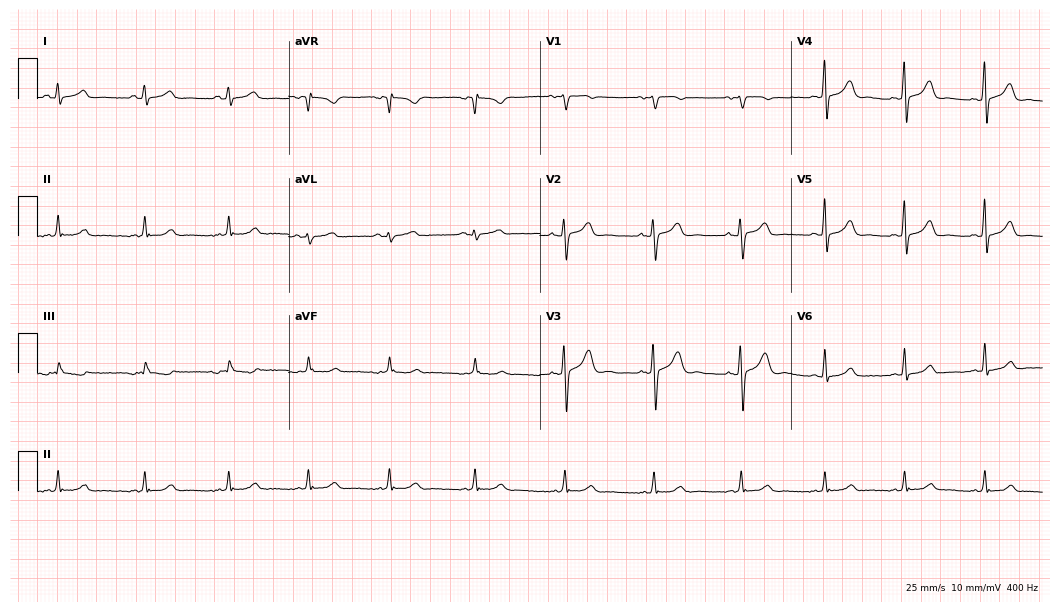
12-lead ECG from a 41-year-old female. Labelled as a normal ECG.